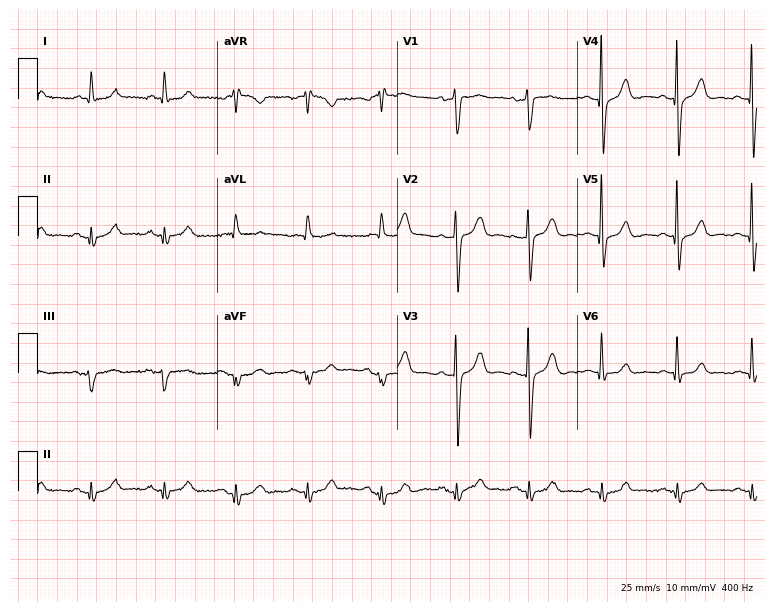
12-lead ECG from a 61-year-old male patient. Labelled as a normal ECG.